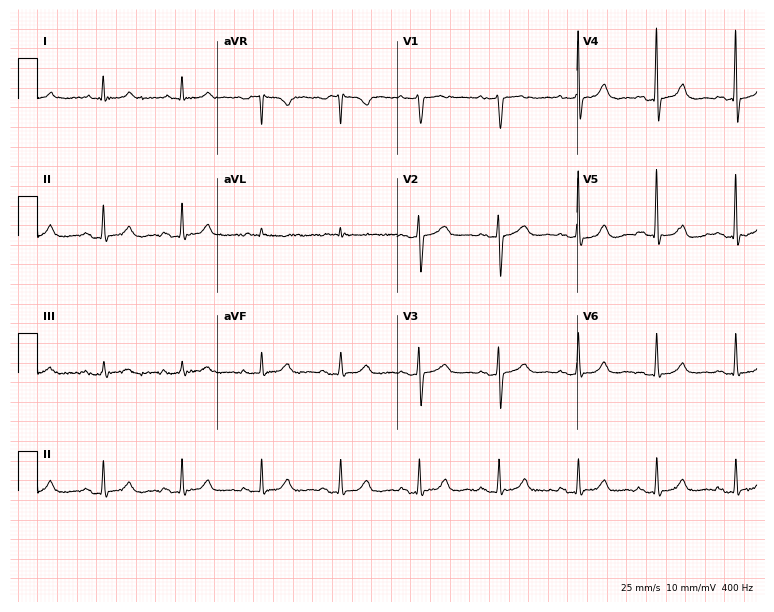
12-lead ECG from an 85-year-old woman (7.3-second recording at 400 Hz). Recorded interpretation: within normal limits.